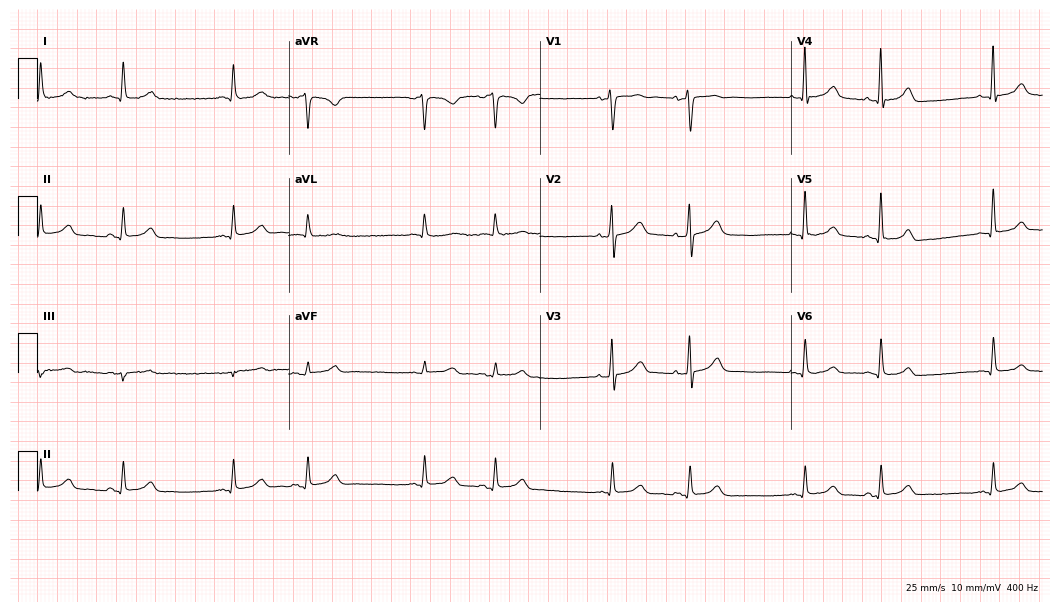
12-lead ECG from a 67-year-old male (10.2-second recording at 400 Hz). Recorded interpretation: within normal limits.